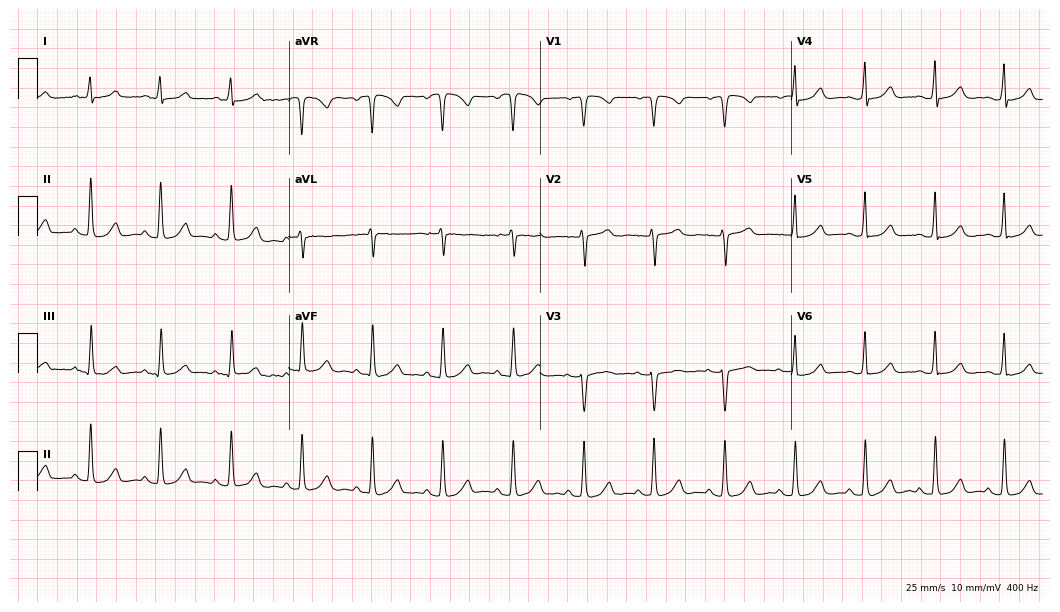
ECG (10.2-second recording at 400 Hz) — a female, 55 years old. Screened for six findings — first-degree AV block, right bundle branch block, left bundle branch block, sinus bradycardia, atrial fibrillation, sinus tachycardia — none is recorded.